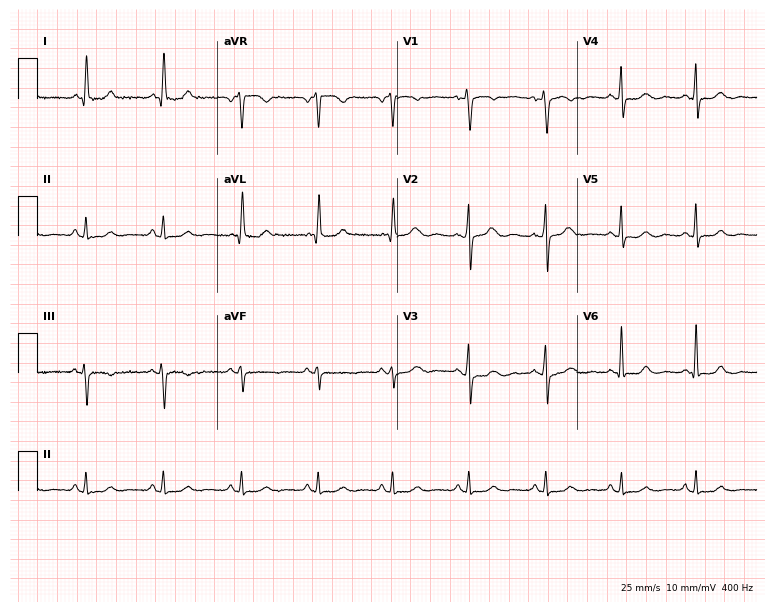
12-lead ECG (7.3-second recording at 400 Hz) from a female, 50 years old. Screened for six findings — first-degree AV block, right bundle branch block (RBBB), left bundle branch block (LBBB), sinus bradycardia, atrial fibrillation (AF), sinus tachycardia — none is recorded.